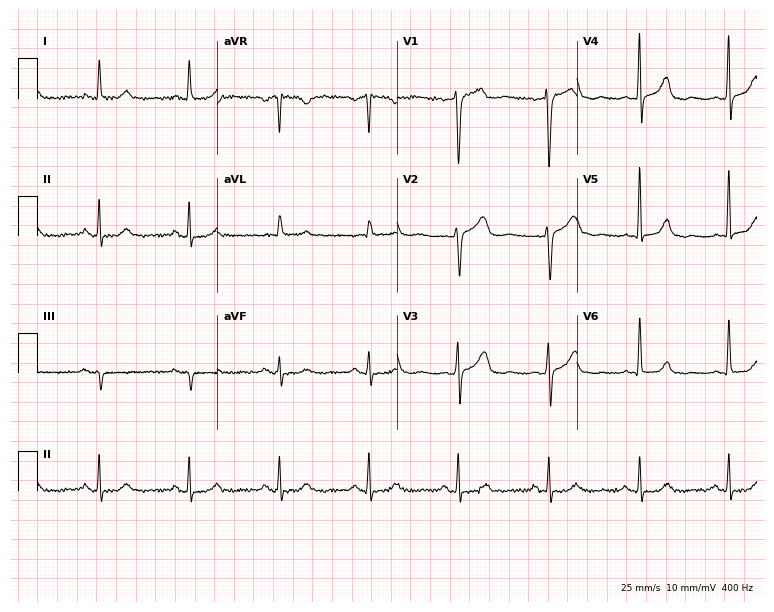
Electrocardiogram, a 63-year-old female. Overall reading on record: normal ECG.